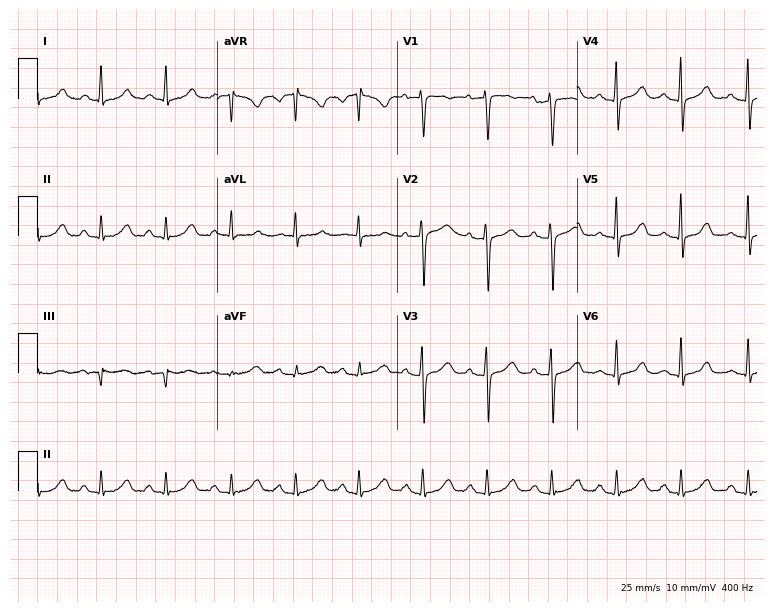
Standard 12-lead ECG recorded from a female, 67 years old (7.3-second recording at 400 Hz). None of these six findings is recorded: first-degree AV block, right bundle branch block (RBBB), left bundle branch block (LBBB), sinus bradycardia, atrial fibrillation (AF), sinus tachycardia.